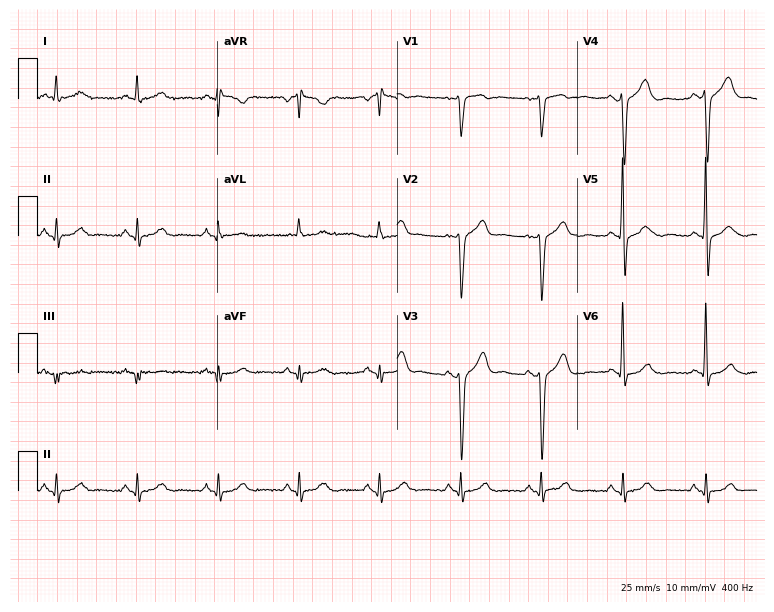
12-lead ECG from a man, 63 years old. No first-degree AV block, right bundle branch block (RBBB), left bundle branch block (LBBB), sinus bradycardia, atrial fibrillation (AF) or sinus tachycardia recorded for this tracing.